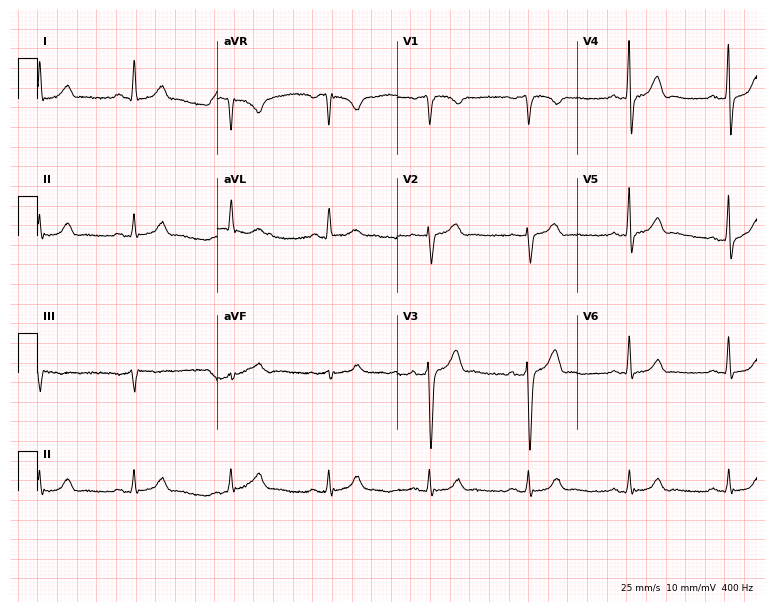
Electrocardiogram (7.3-second recording at 400 Hz), a male, 58 years old. Of the six screened findings (first-degree AV block, right bundle branch block (RBBB), left bundle branch block (LBBB), sinus bradycardia, atrial fibrillation (AF), sinus tachycardia), none is recorded. Other findings, if any, are not listed.